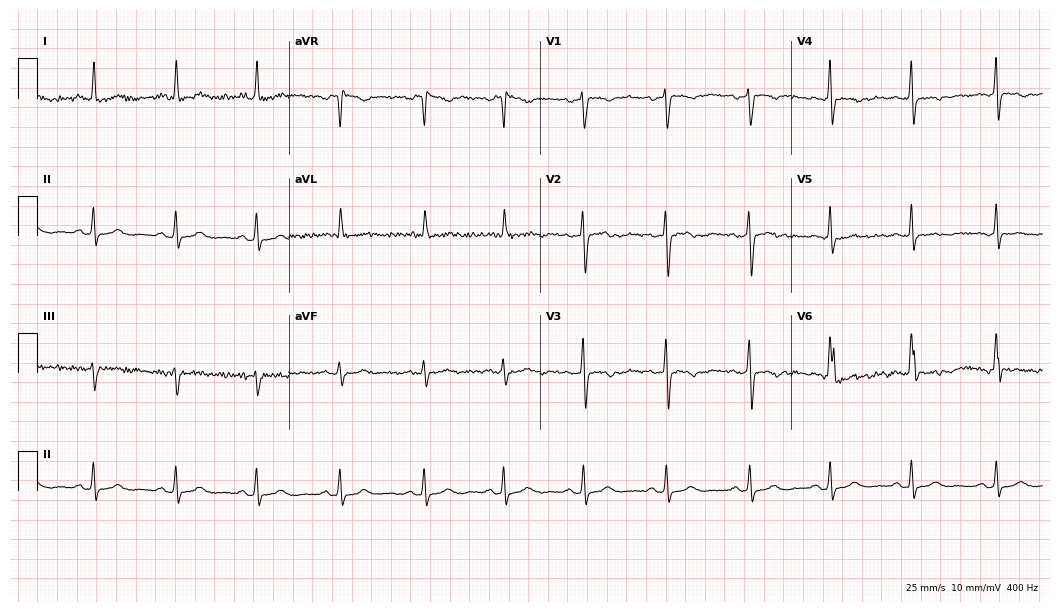
Electrocardiogram (10.2-second recording at 400 Hz), a 23-year-old woman. Of the six screened findings (first-degree AV block, right bundle branch block (RBBB), left bundle branch block (LBBB), sinus bradycardia, atrial fibrillation (AF), sinus tachycardia), none is recorded. Findings outside these six are not listed.